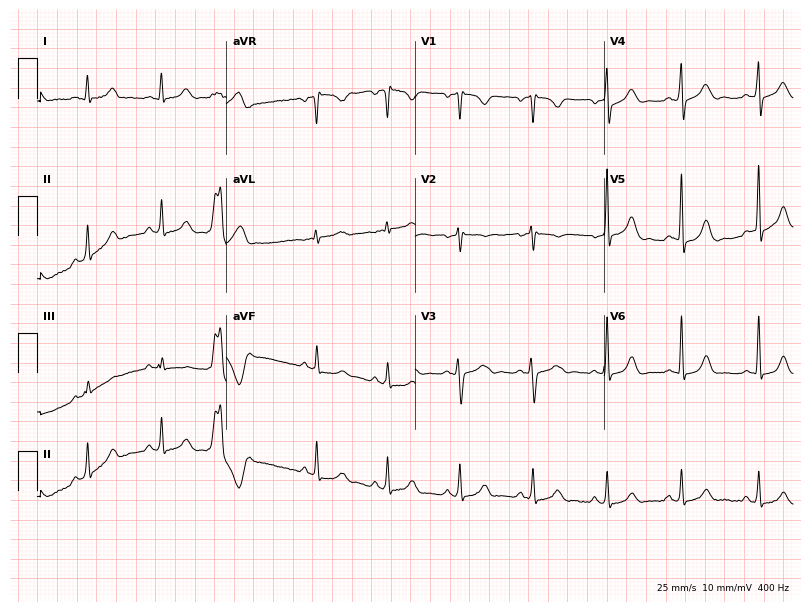
12-lead ECG from a woman, 31 years old. Recorded interpretation: within normal limits.